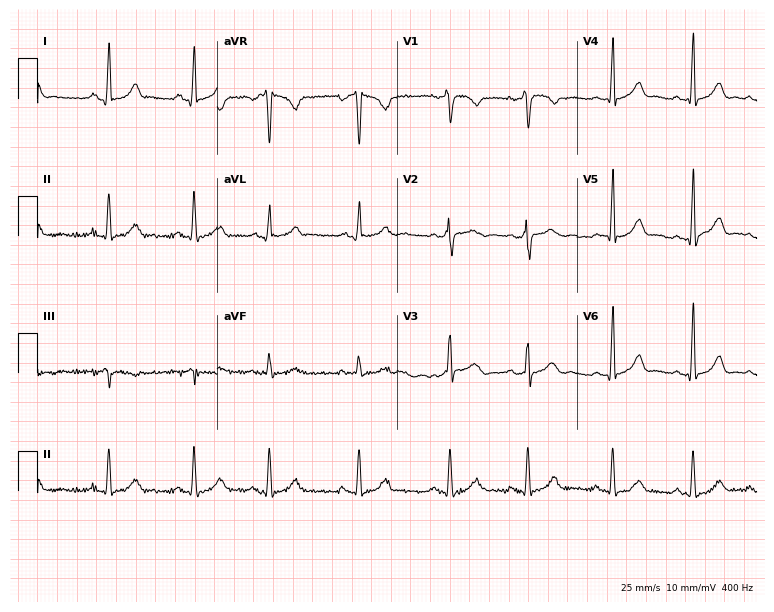
Electrocardiogram, a 19-year-old female patient. Overall reading on record: normal ECG.